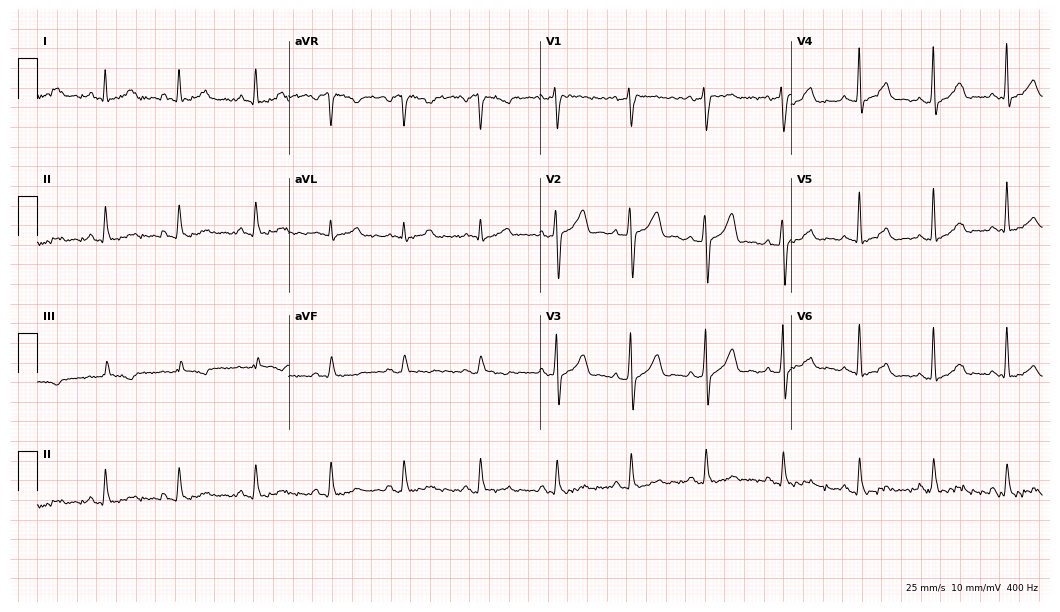
Electrocardiogram, a 59-year-old male. Of the six screened findings (first-degree AV block, right bundle branch block, left bundle branch block, sinus bradycardia, atrial fibrillation, sinus tachycardia), none is recorded. Findings outside these six are not listed.